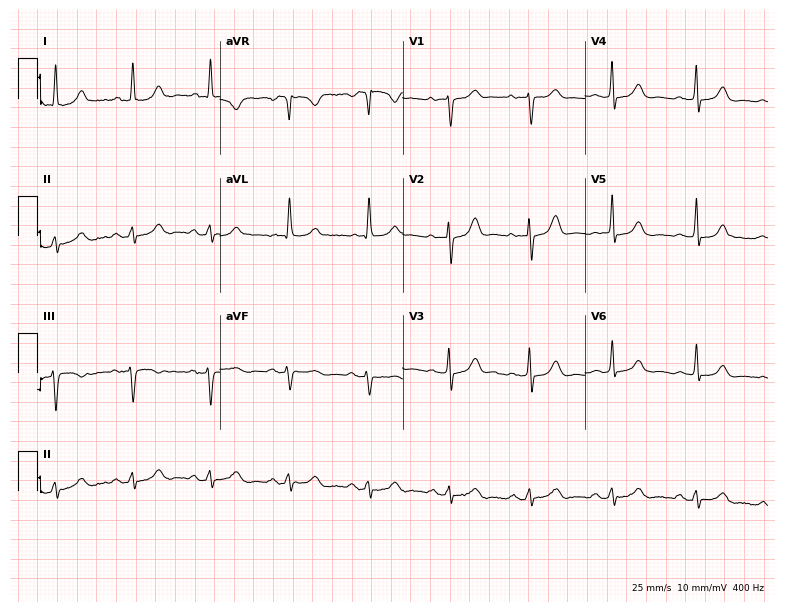
Electrocardiogram (7.4-second recording at 400 Hz), a female, 76 years old. Overall reading on record: normal ECG.